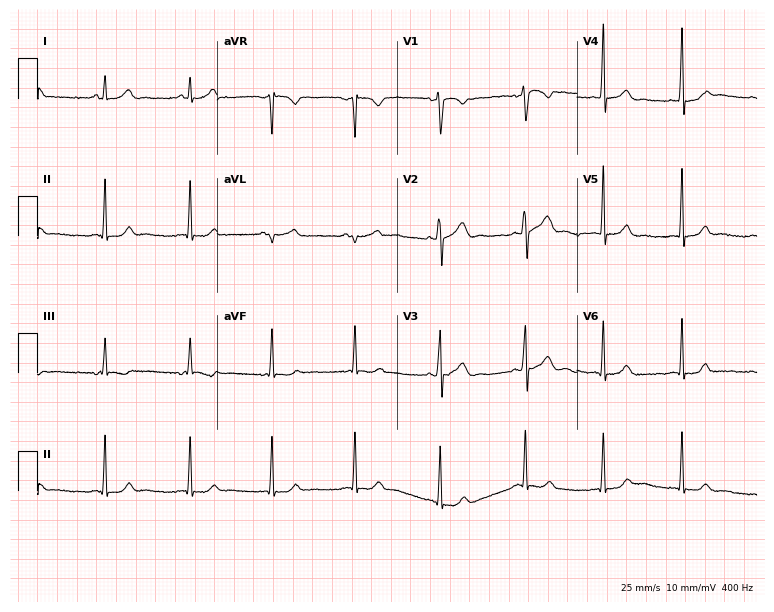
ECG (7.3-second recording at 400 Hz) — a woman, 26 years old. Screened for six findings — first-degree AV block, right bundle branch block, left bundle branch block, sinus bradycardia, atrial fibrillation, sinus tachycardia — none is recorded.